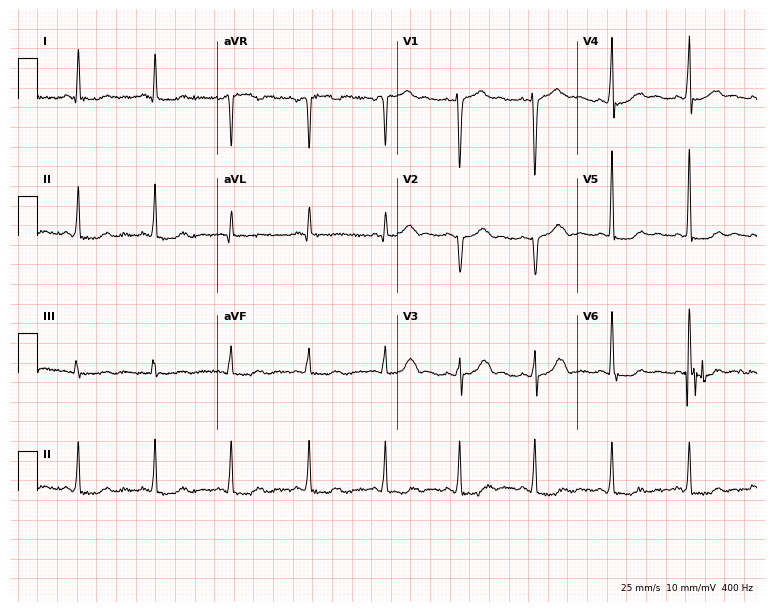
Electrocardiogram, a female patient, 49 years old. Of the six screened findings (first-degree AV block, right bundle branch block, left bundle branch block, sinus bradycardia, atrial fibrillation, sinus tachycardia), none is recorded.